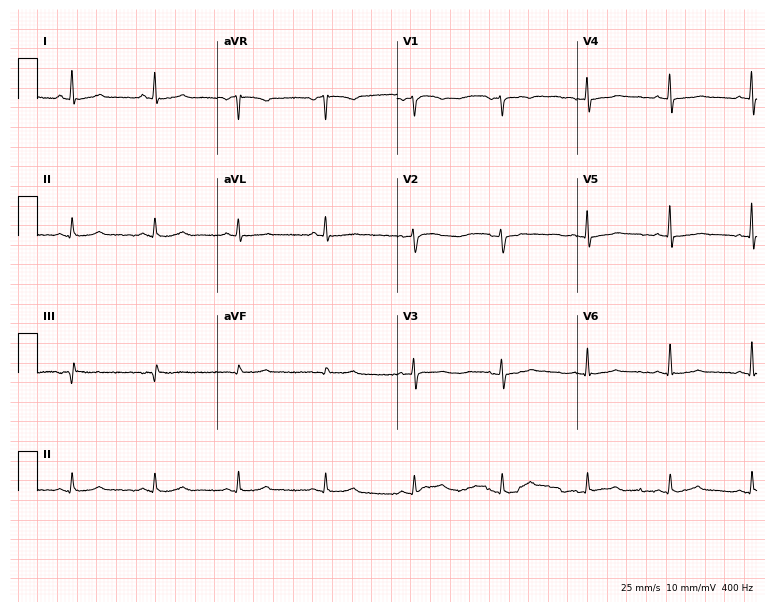
Resting 12-lead electrocardiogram. Patient: a woman, 53 years old. None of these six findings is recorded: first-degree AV block, right bundle branch block, left bundle branch block, sinus bradycardia, atrial fibrillation, sinus tachycardia. Only these six findings were labelled.